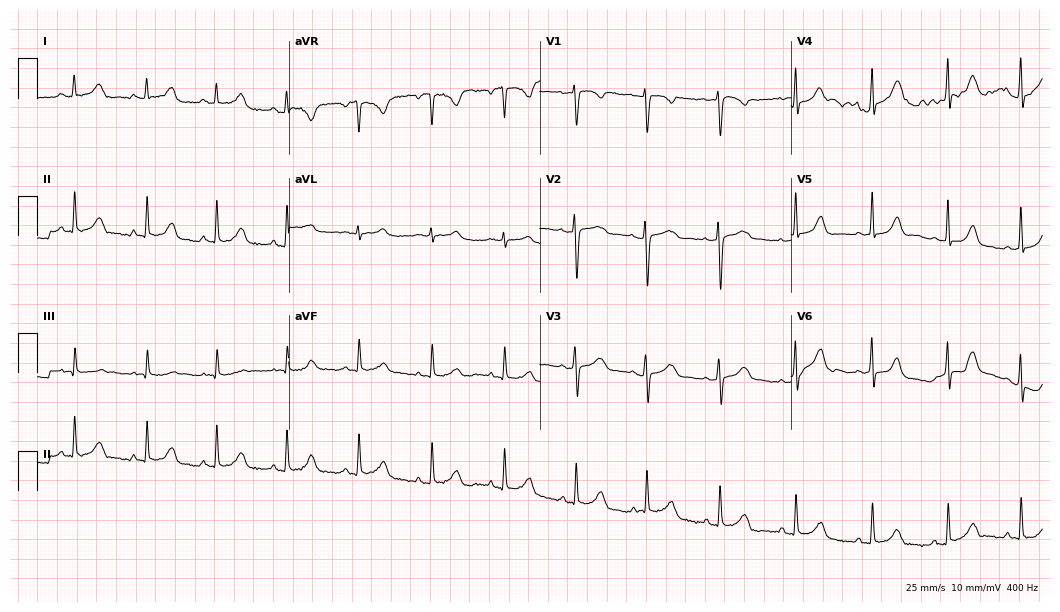
Resting 12-lead electrocardiogram (10.2-second recording at 400 Hz). Patient: a woman, 23 years old. Read as a normal ECG.